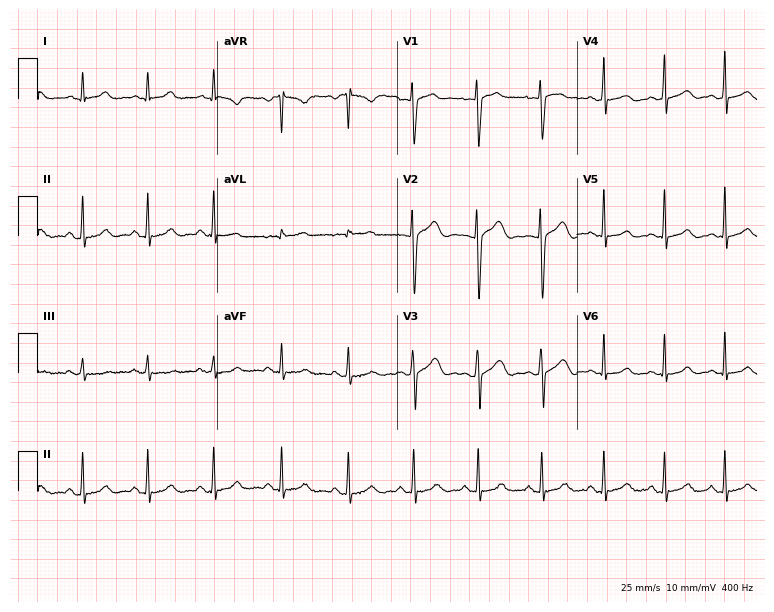
12-lead ECG from a 29-year-old woman (7.3-second recording at 400 Hz). Recorded interpretation: within normal limits.